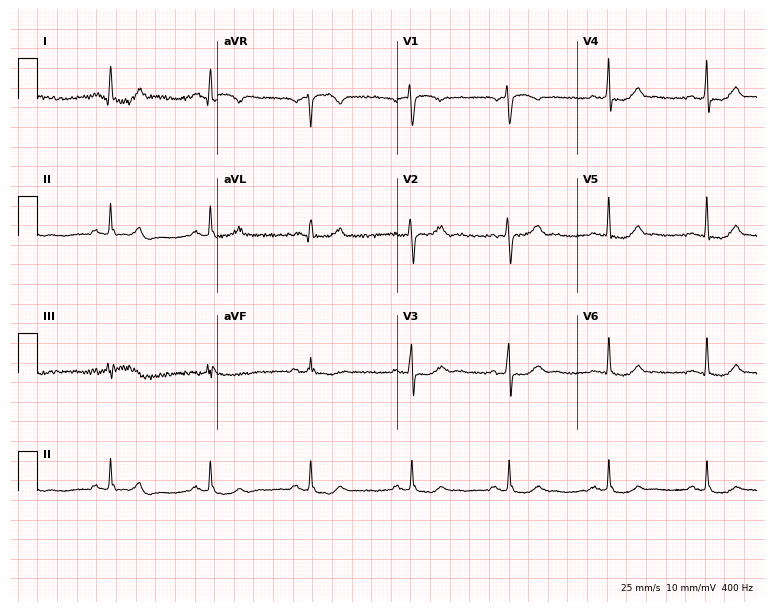
12-lead ECG (7.3-second recording at 400 Hz) from a female patient, 63 years old. Screened for six findings — first-degree AV block, right bundle branch block (RBBB), left bundle branch block (LBBB), sinus bradycardia, atrial fibrillation (AF), sinus tachycardia — none is recorded. Other findings, if any, are not listed.